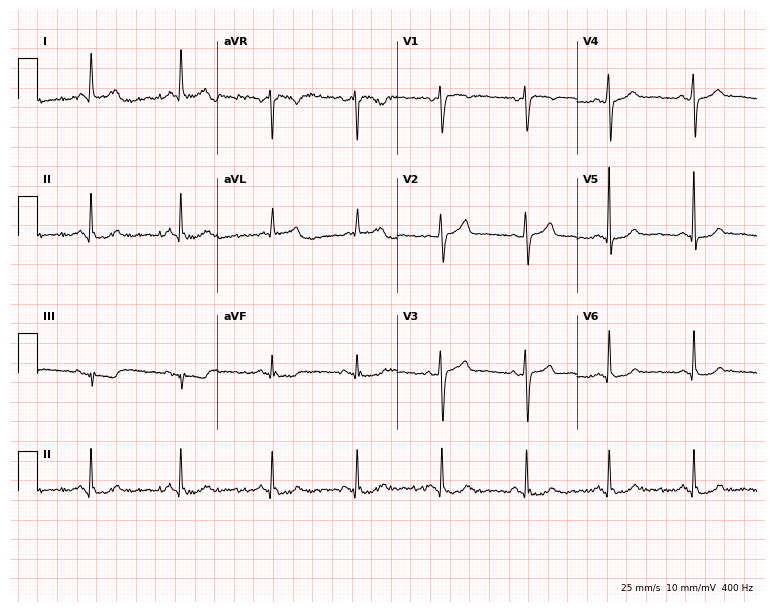
Standard 12-lead ECG recorded from a woman, 67 years old. None of these six findings is recorded: first-degree AV block, right bundle branch block (RBBB), left bundle branch block (LBBB), sinus bradycardia, atrial fibrillation (AF), sinus tachycardia.